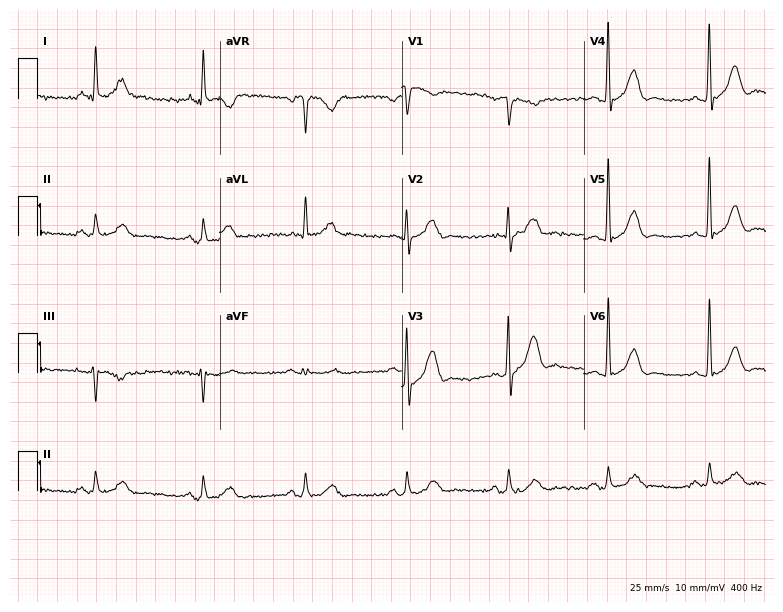
12-lead ECG from a 59-year-old male. No first-degree AV block, right bundle branch block, left bundle branch block, sinus bradycardia, atrial fibrillation or sinus tachycardia recorded for this tracing.